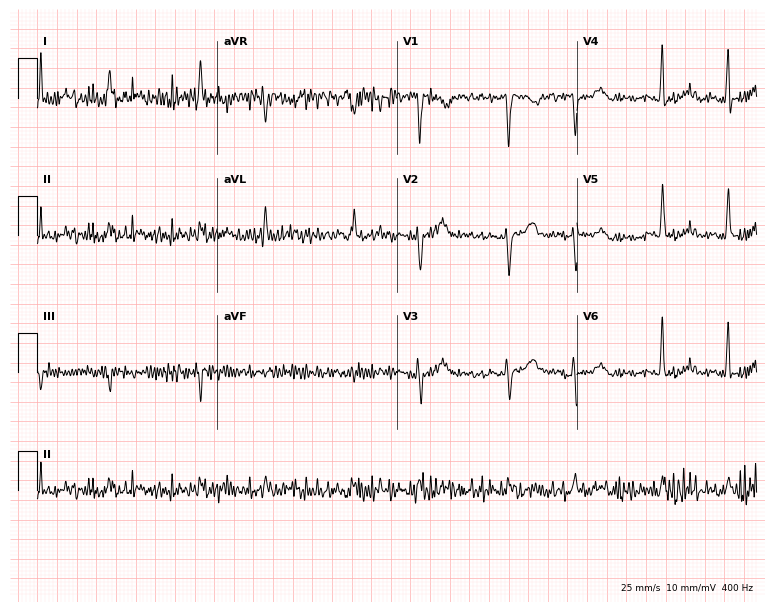
12-lead ECG from a male patient, 69 years old (7.3-second recording at 400 Hz). No first-degree AV block, right bundle branch block, left bundle branch block, sinus bradycardia, atrial fibrillation or sinus tachycardia recorded for this tracing.